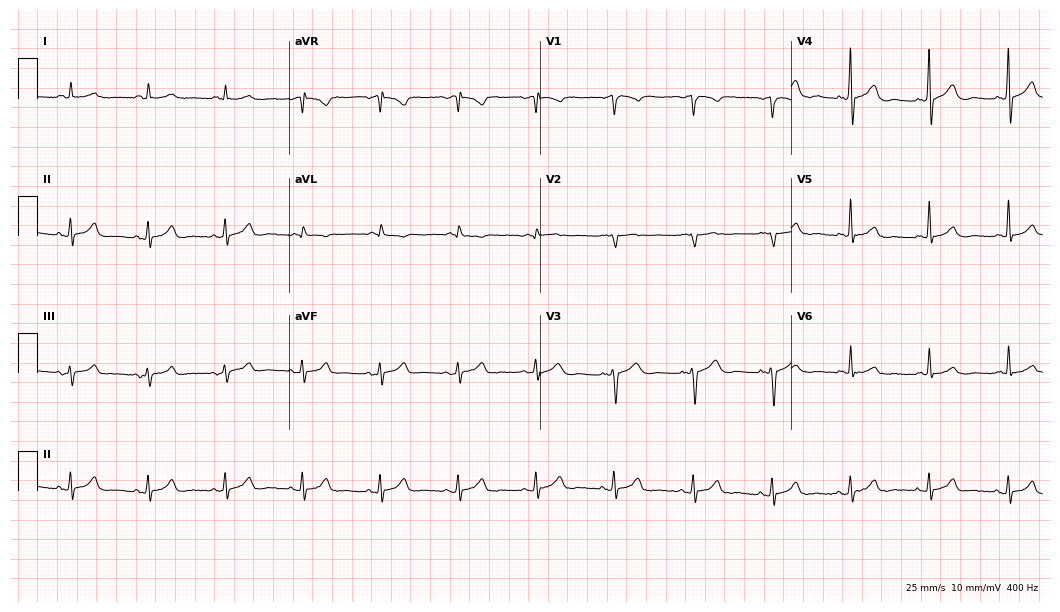
Standard 12-lead ECG recorded from a 72-year-old male. Read as a normal ECG.